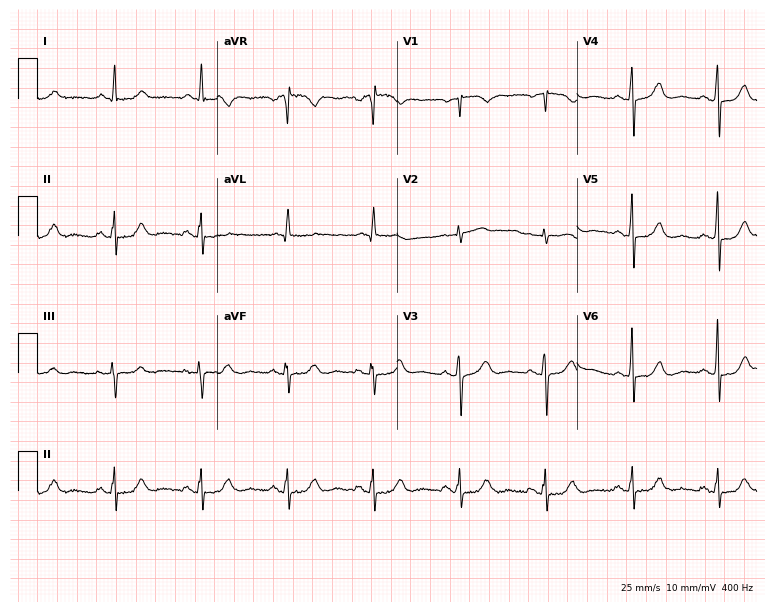
Electrocardiogram (7.3-second recording at 400 Hz), a female patient, 66 years old. Overall reading on record: normal ECG.